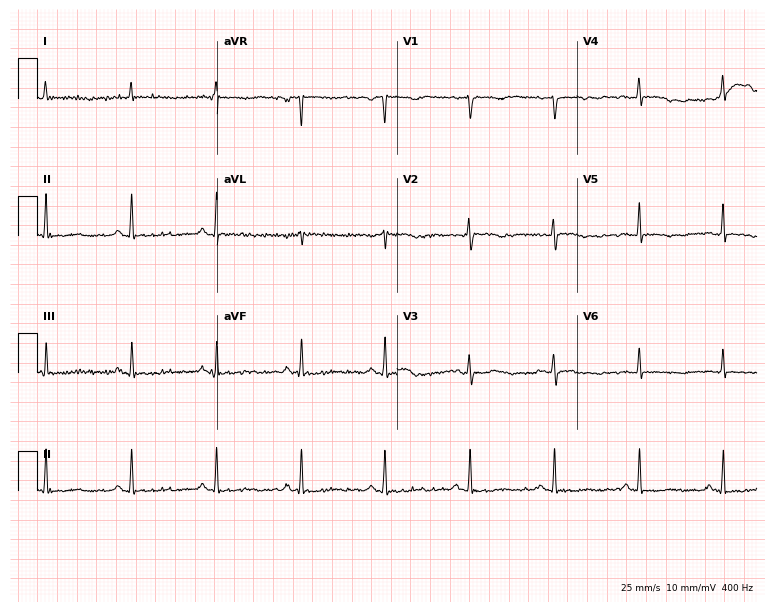
Resting 12-lead electrocardiogram. Patient: a 30-year-old female. Read as a normal ECG.